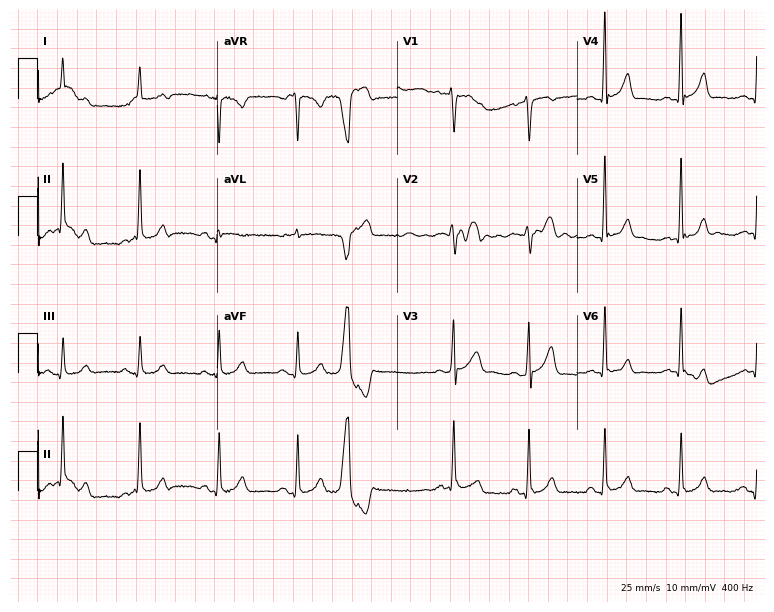
Electrocardiogram (7.3-second recording at 400 Hz), a male, 56 years old. Of the six screened findings (first-degree AV block, right bundle branch block, left bundle branch block, sinus bradycardia, atrial fibrillation, sinus tachycardia), none is recorded.